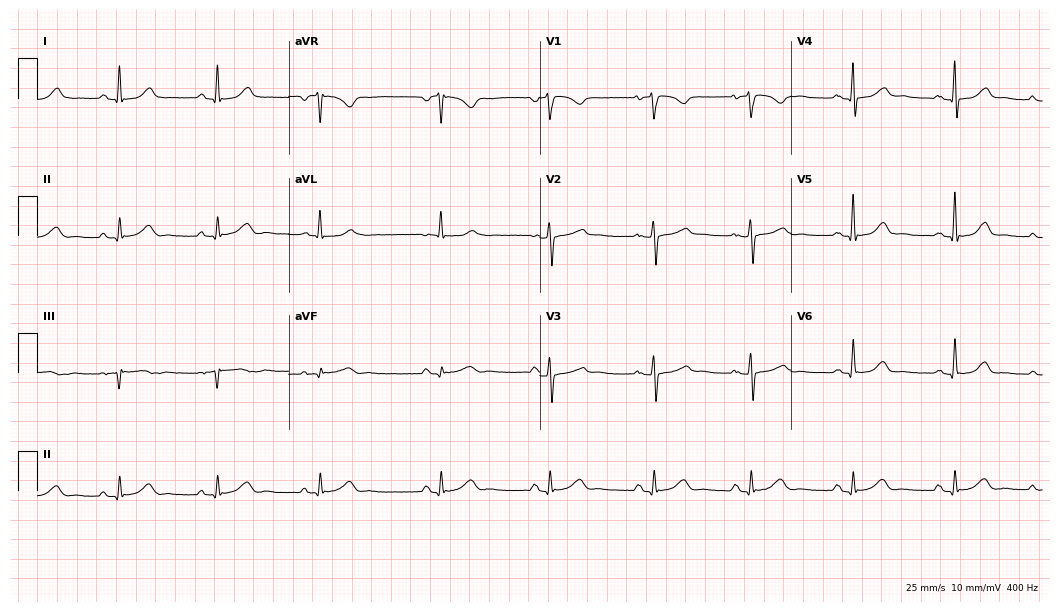
Resting 12-lead electrocardiogram (10.2-second recording at 400 Hz). Patient: a female, 63 years old. Read as a normal ECG.